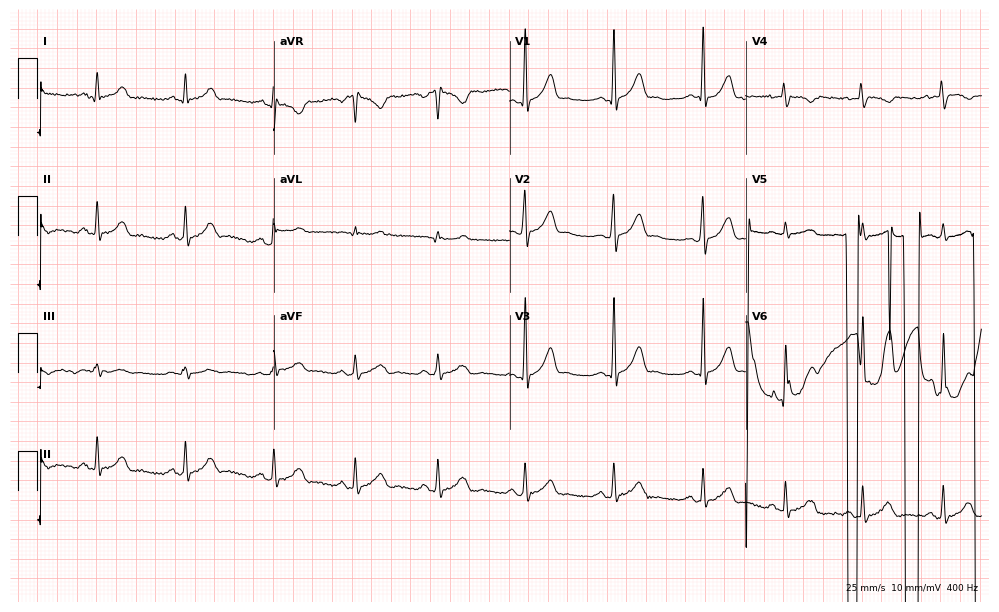
Electrocardiogram (9.6-second recording at 400 Hz), a female, 24 years old. Of the six screened findings (first-degree AV block, right bundle branch block, left bundle branch block, sinus bradycardia, atrial fibrillation, sinus tachycardia), none is recorded. Findings outside these six are not listed.